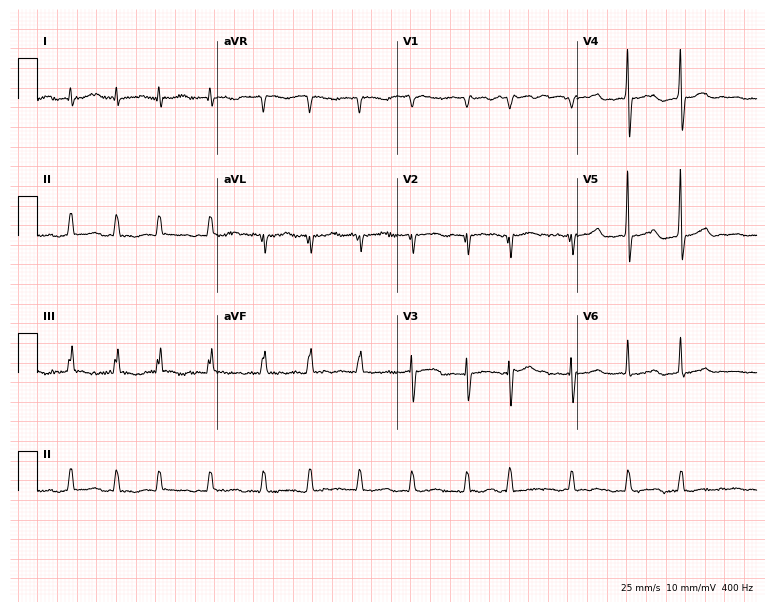
Resting 12-lead electrocardiogram (7.3-second recording at 400 Hz). Patient: a 75-year-old woman. The tracing shows atrial fibrillation.